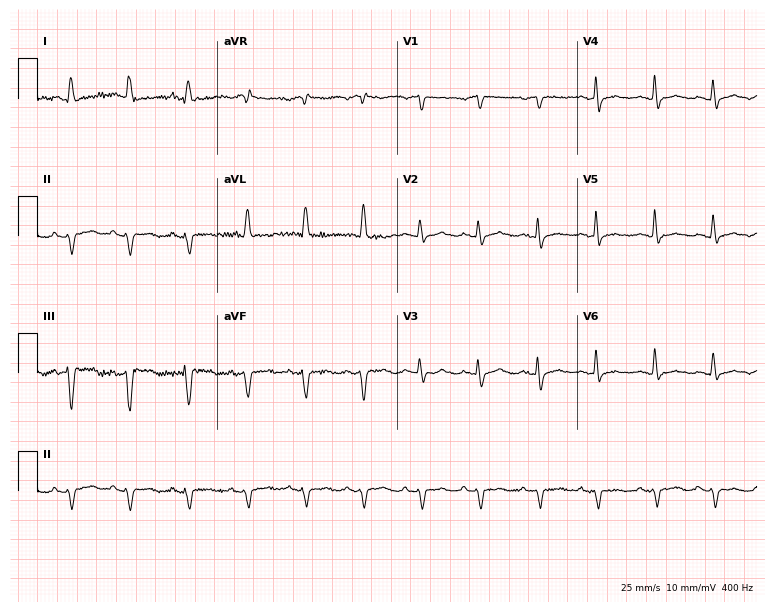
12-lead ECG from a 77-year-old woman (7.3-second recording at 400 Hz). No first-degree AV block, right bundle branch block (RBBB), left bundle branch block (LBBB), sinus bradycardia, atrial fibrillation (AF) or sinus tachycardia recorded for this tracing.